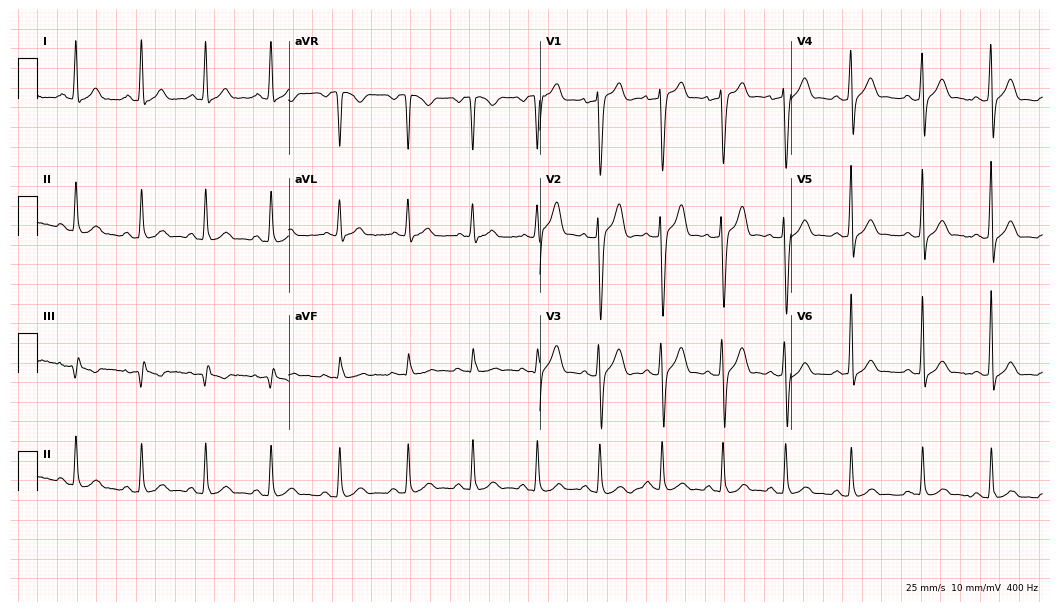
ECG (10.2-second recording at 400 Hz) — a 33-year-old male patient. Labelled as a normal ECG.